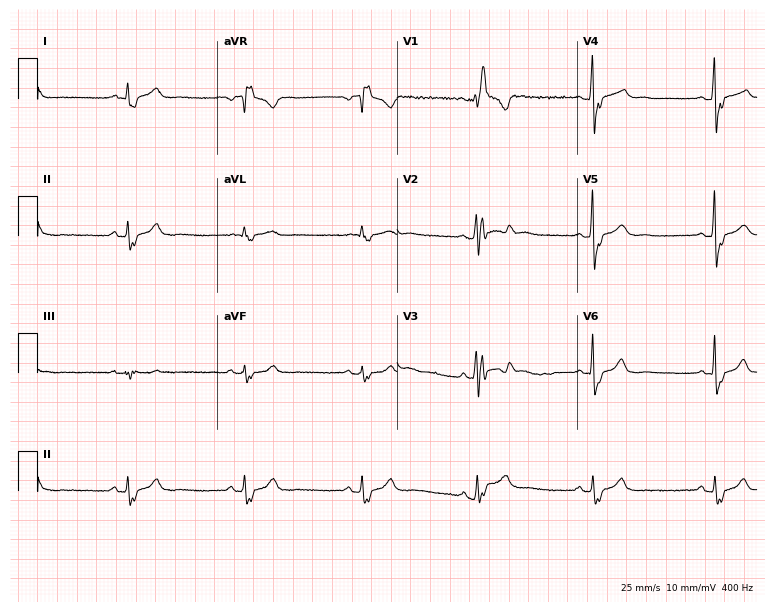
12-lead ECG from a male, 37 years old (7.3-second recording at 400 Hz). Shows right bundle branch block.